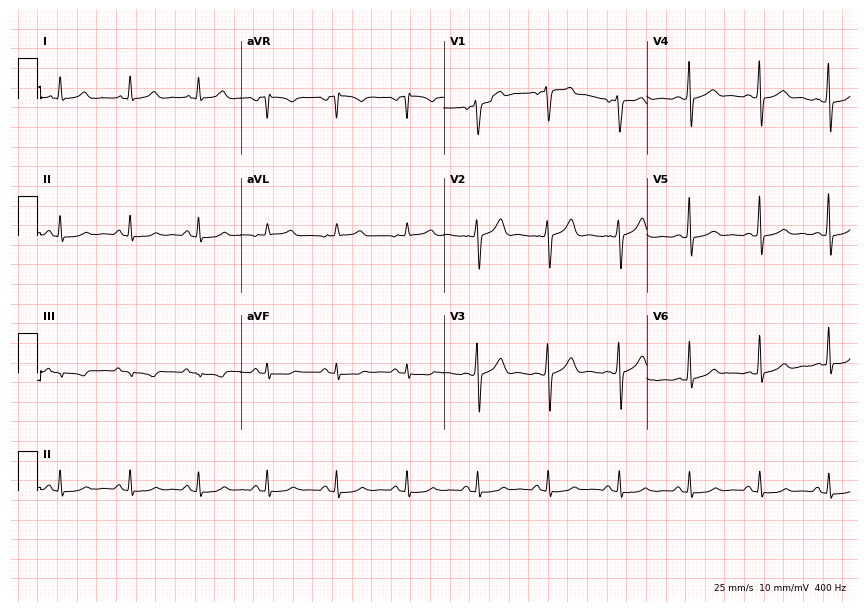
Resting 12-lead electrocardiogram (8.3-second recording at 400 Hz). Patient: a male, 42 years old. Read as a normal ECG.